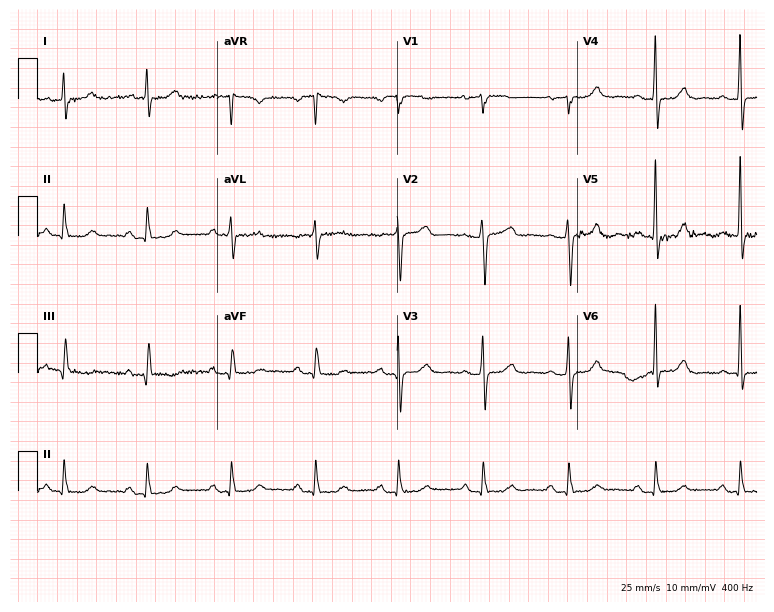
12-lead ECG from a female, 55 years old. No first-degree AV block, right bundle branch block, left bundle branch block, sinus bradycardia, atrial fibrillation or sinus tachycardia recorded for this tracing.